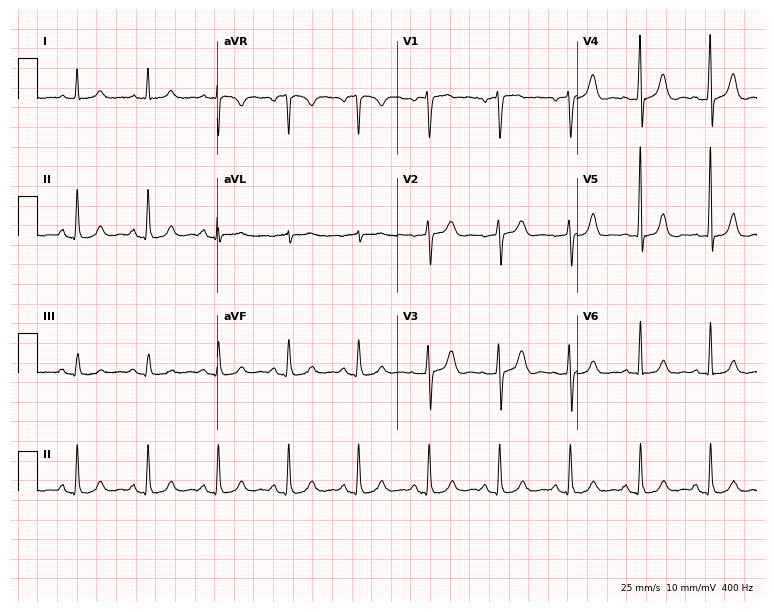
12-lead ECG from an 85-year-old male patient. Recorded interpretation: within normal limits.